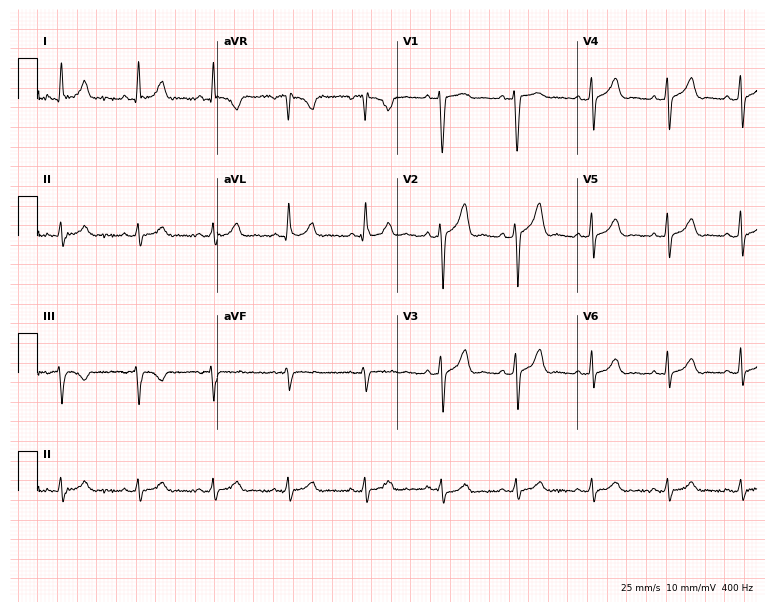
Resting 12-lead electrocardiogram (7.3-second recording at 400 Hz). Patient: a 36-year-old male. None of these six findings is recorded: first-degree AV block, right bundle branch block, left bundle branch block, sinus bradycardia, atrial fibrillation, sinus tachycardia. Other findings, if any, are not listed.